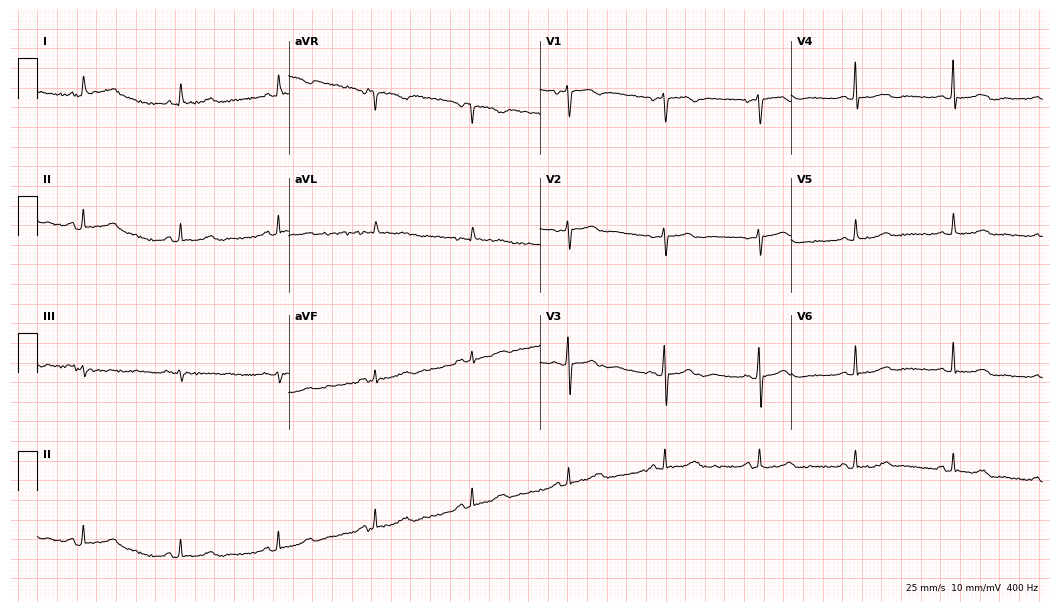
Resting 12-lead electrocardiogram (10.2-second recording at 400 Hz). Patient: a 79-year-old female. None of these six findings is recorded: first-degree AV block, right bundle branch block, left bundle branch block, sinus bradycardia, atrial fibrillation, sinus tachycardia.